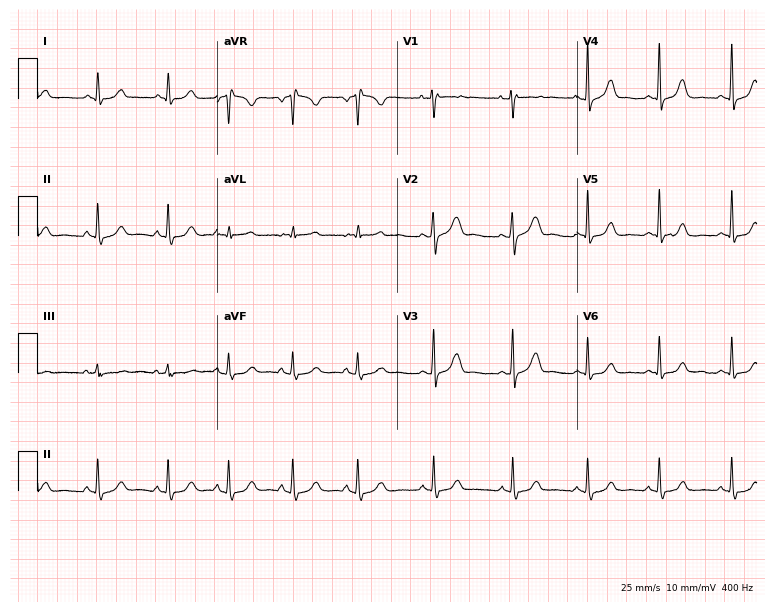
12-lead ECG from a 45-year-old female (7.3-second recording at 400 Hz). Recorded interpretation: within normal limits.